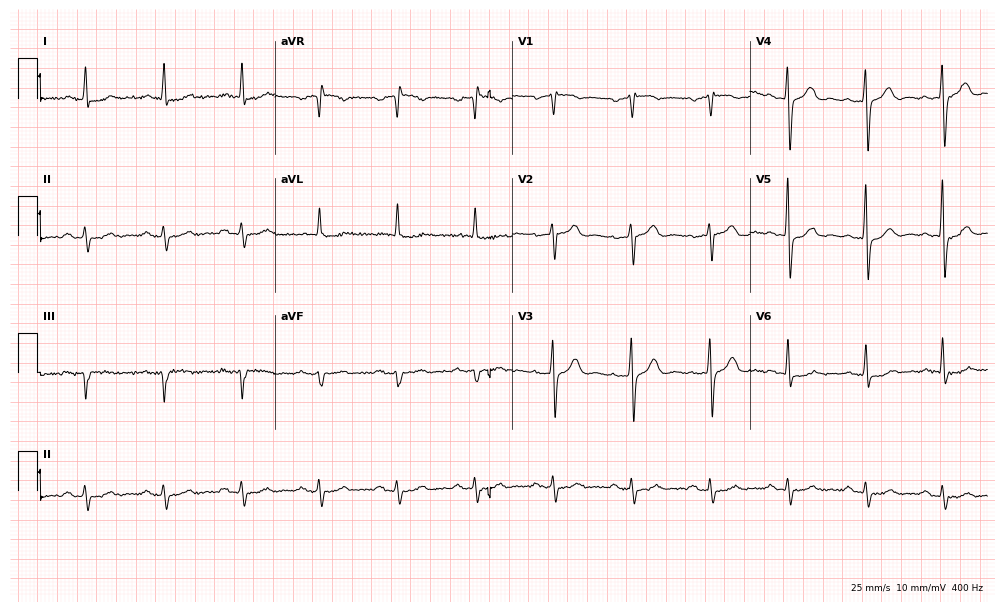
Resting 12-lead electrocardiogram. Patient: a man, 81 years old. Read as a normal ECG.